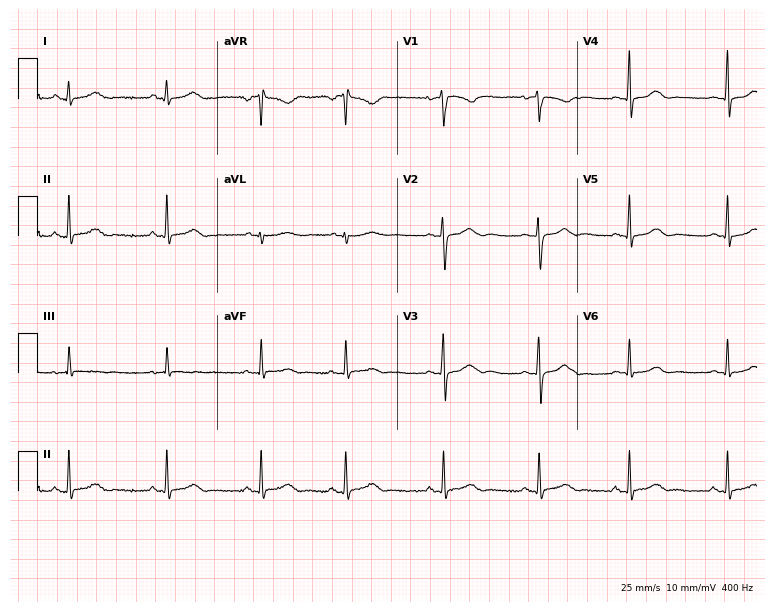
Electrocardiogram (7.3-second recording at 400 Hz), a female patient, 22 years old. Overall reading on record: normal ECG.